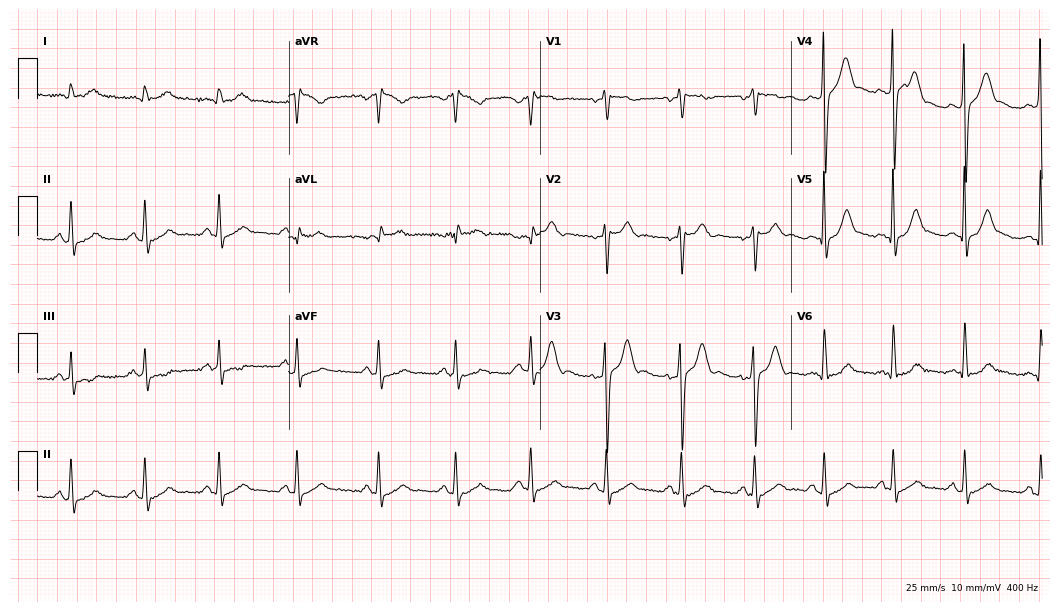
Standard 12-lead ECG recorded from a male, 20 years old (10.2-second recording at 400 Hz). Read as a normal ECG.